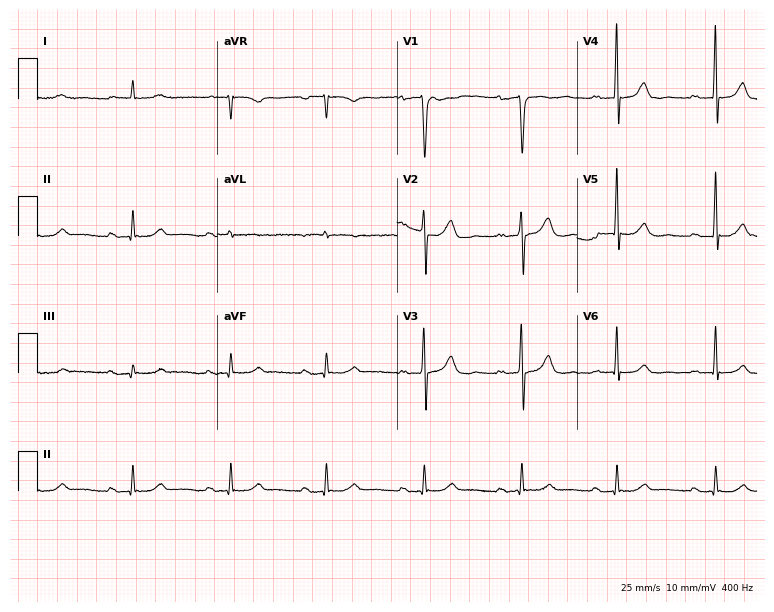
12-lead ECG from a male patient, 85 years old. Findings include first-degree AV block.